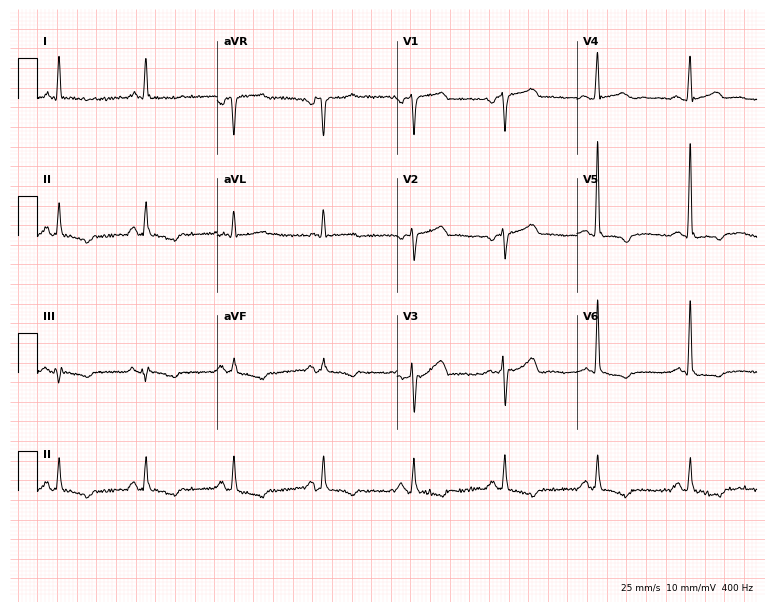
Resting 12-lead electrocardiogram (7.3-second recording at 400 Hz). Patient: a 61-year-old male. None of these six findings is recorded: first-degree AV block, right bundle branch block, left bundle branch block, sinus bradycardia, atrial fibrillation, sinus tachycardia.